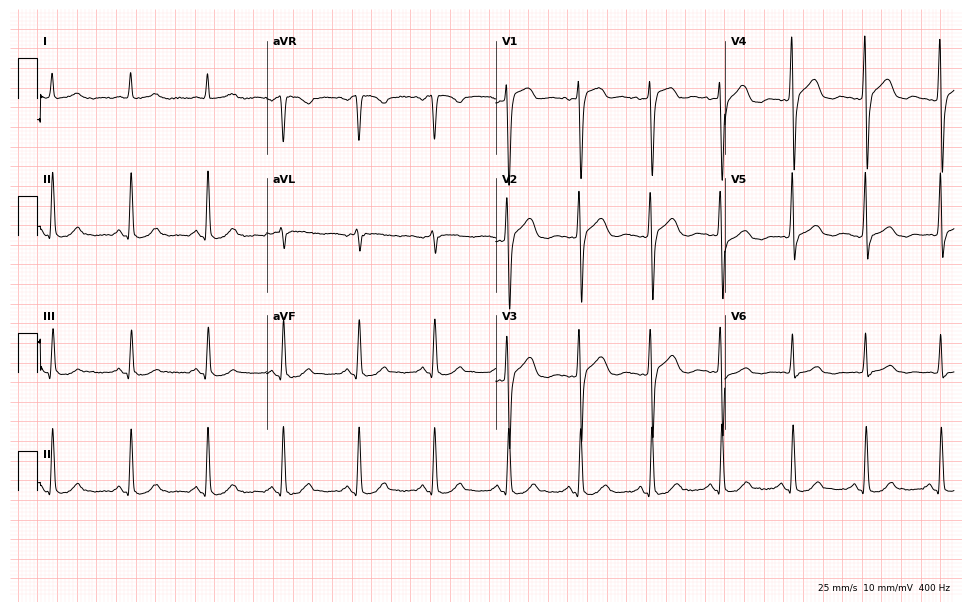
Electrocardiogram (9.3-second recording at 400 Hz), a male patient, 57 years old. Overall reading on record: normal ECG.